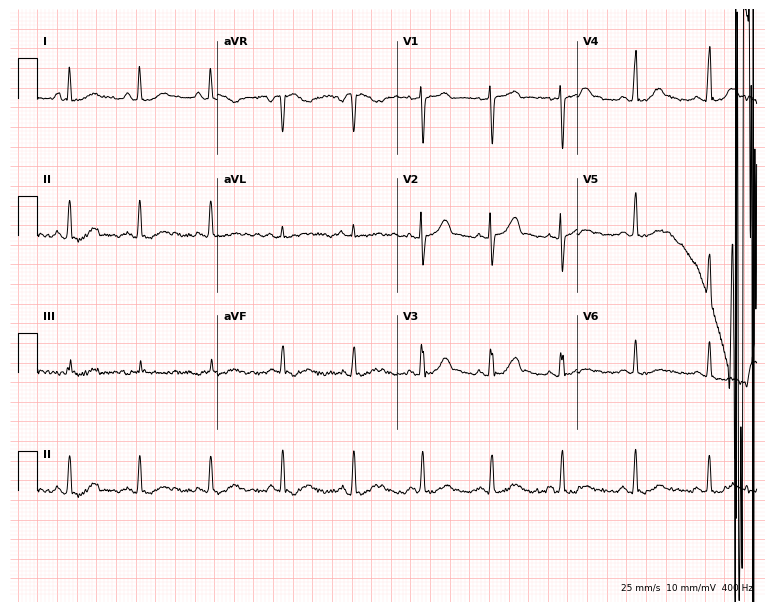
12-lead ECG from an 18-year-old man. Labelled as a normal ECG.